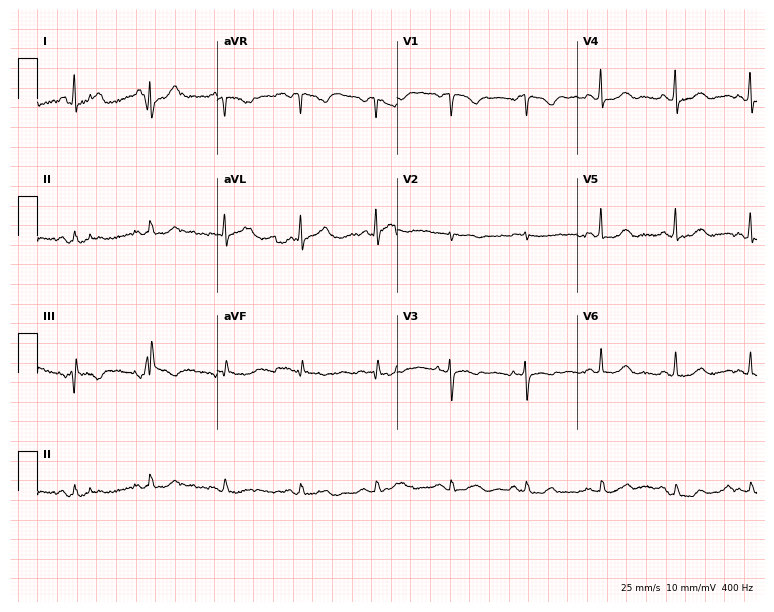
12-lead ECG from a female, 59 years old. Recorded interpretation: within normal limits.